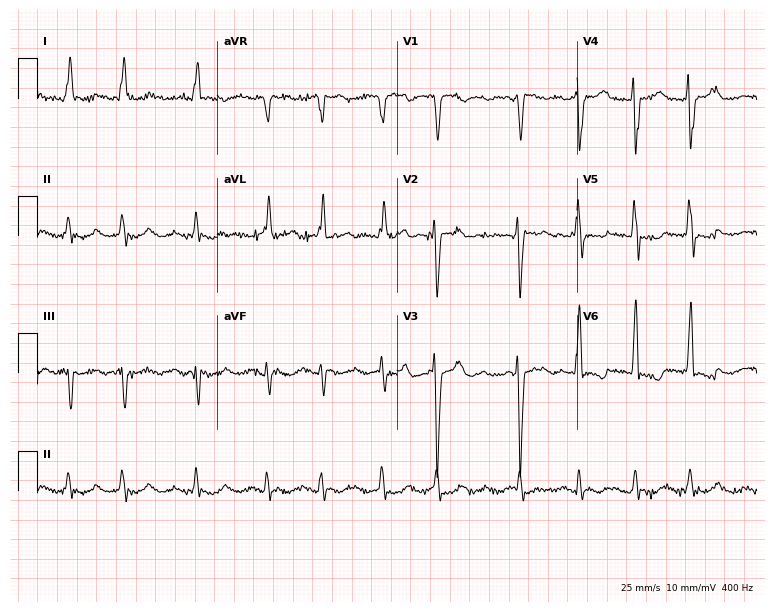
12-lead ECG from a 77-year-old female (7.3-second recording at 400 Hz). Shows atrial fibrillation.